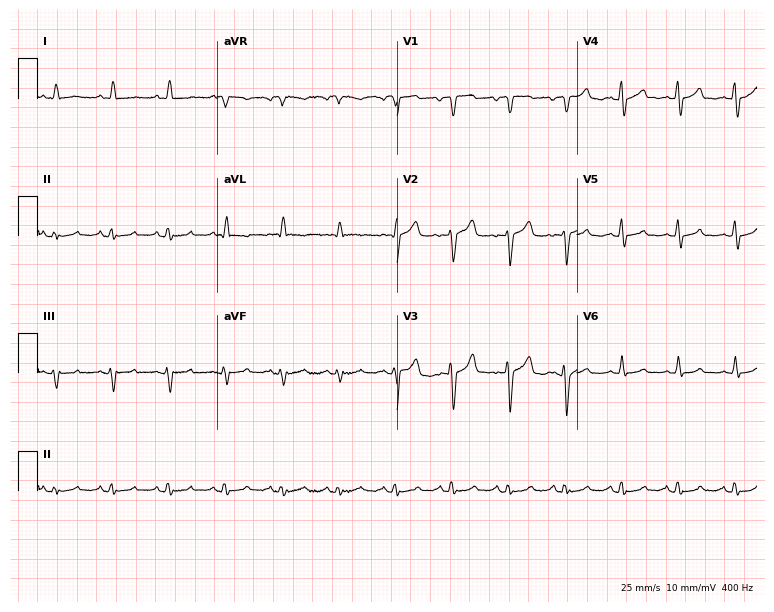
Electrocardiogram, a woman, 54 years old. Interpretation includes sinus tachycardia (a sinus rate of 100 beats per minute or more).